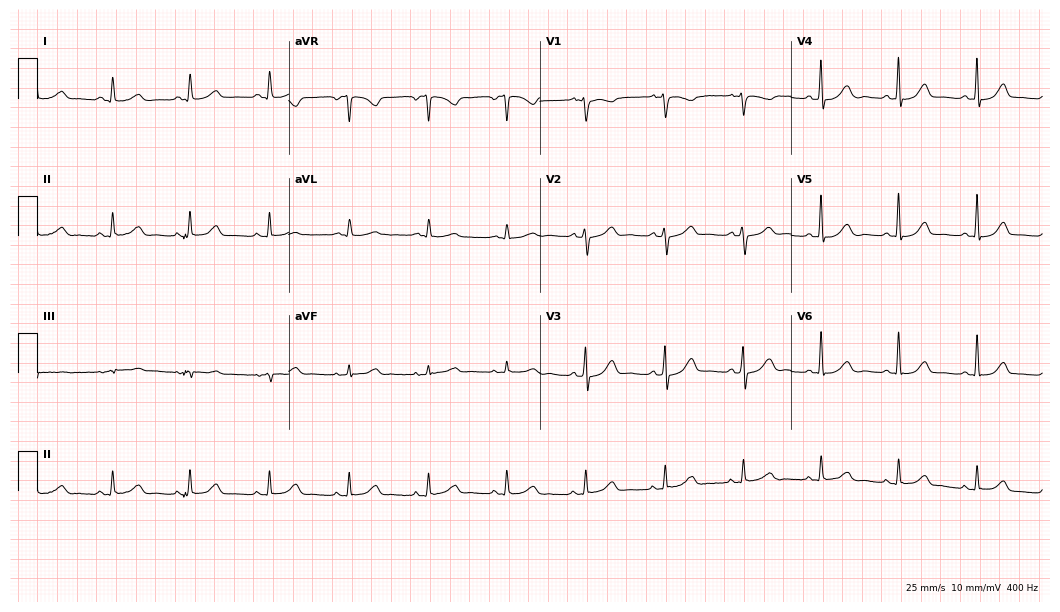
Electrocardiogram, a 67-year-old female patient. Of the six screened findings (first-degree AV block, right bundle branch block, left bundle branch block, sinus bradycardia, atrial fibrillation, sinus tachycardia), none is recorded. Other findings, if any, are not listed.